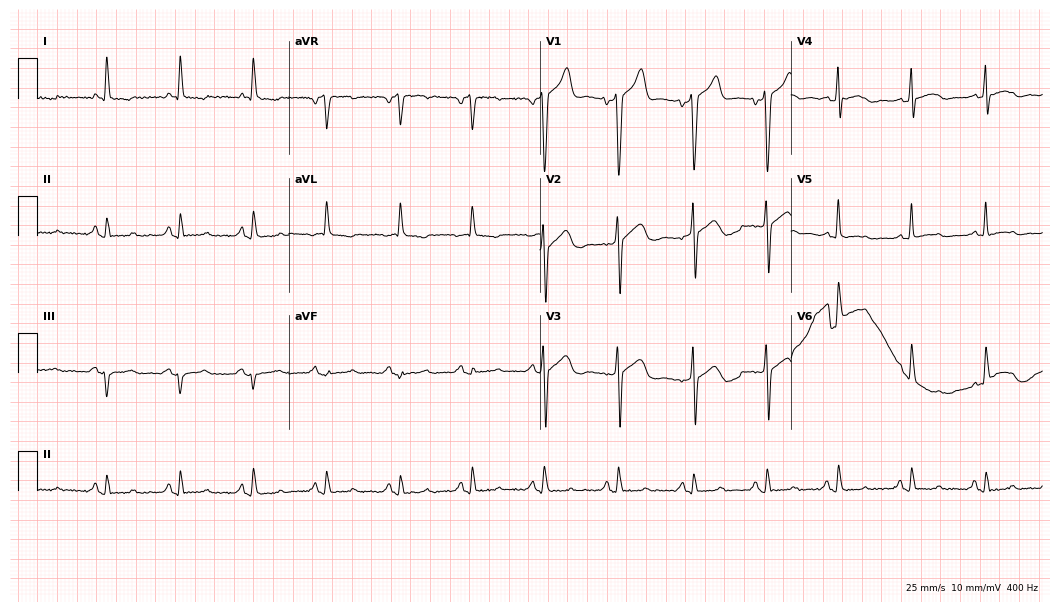
Electrocardiogram, a man, 66 years old. Of the six screened findings (first-degree AV block, right bundle branch block, left bundle branch block, sinus bradycardia, atrial fibrillation, sinus tachycardia), none is recorded. Findings outside these six are not listed.